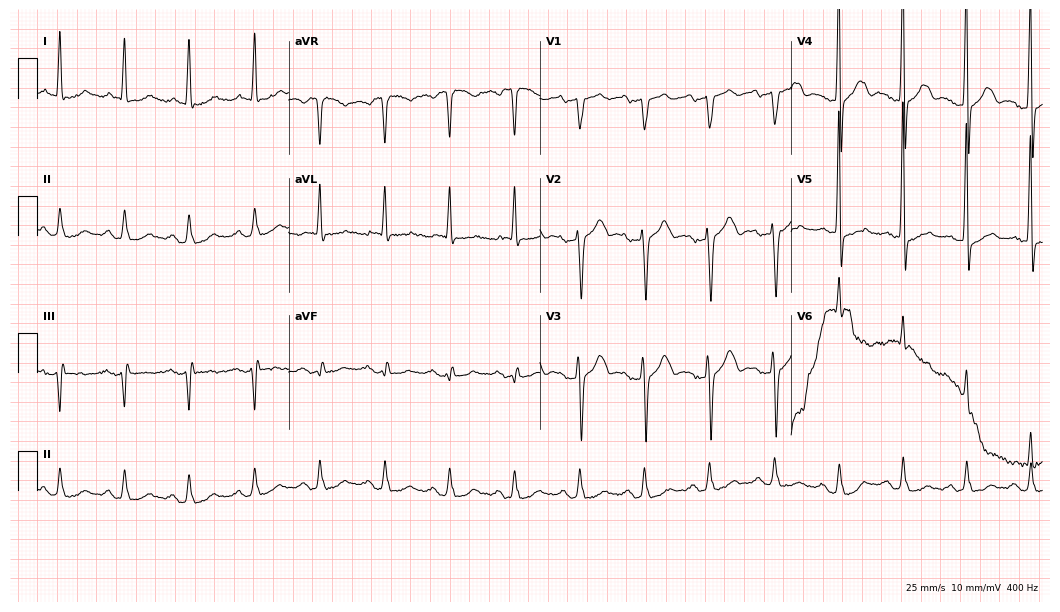
12-lead ECG from a 65-year-old man. Screened for six findings — first-degree AV block, right bundle branch block (RBBB), left bundle branch block (LBBB), sinus bradycardia, atrial fibrillation (AF), sinus tachycardia — none is recorded.